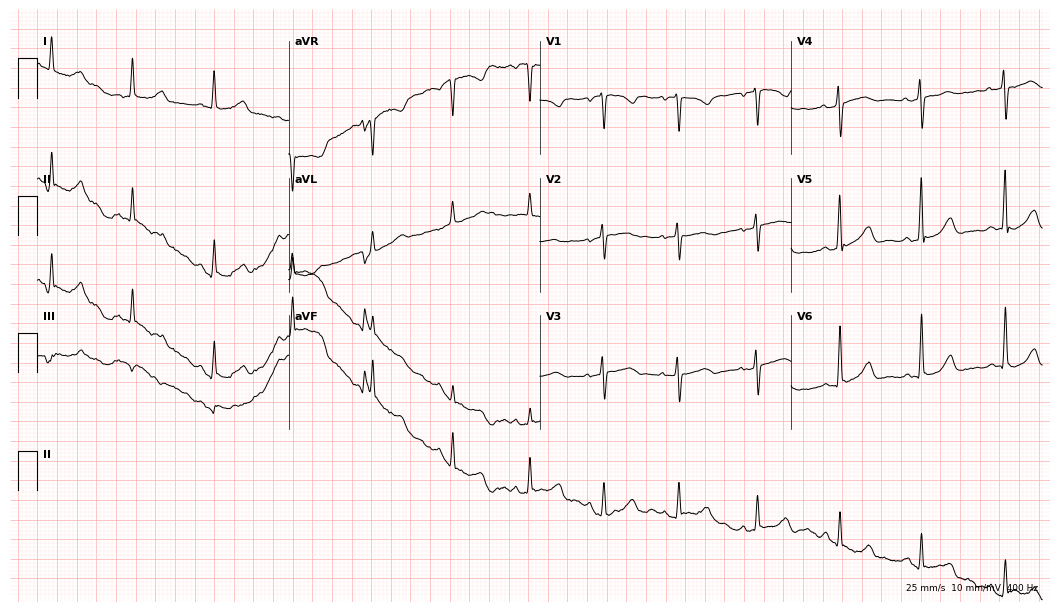
ECG (10.2-second recording at 400 Hz) — a female, 54 years old. Labelled as a normal ECG.